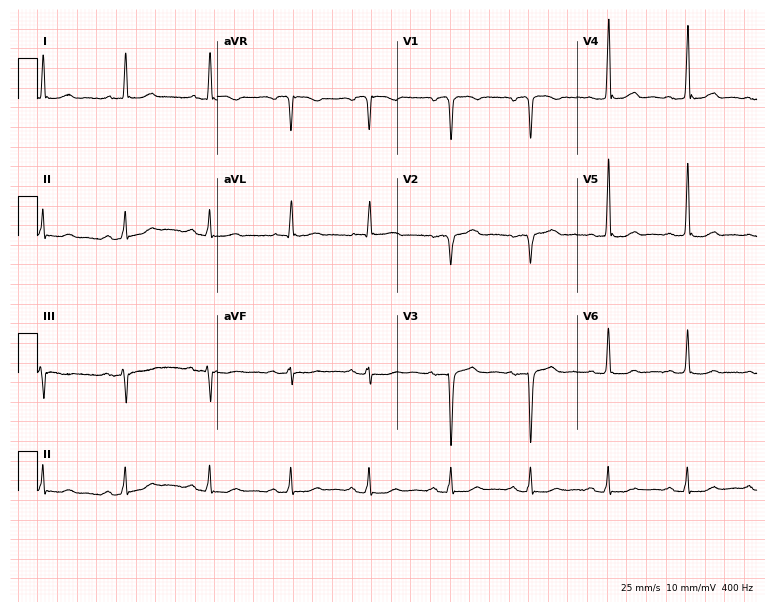
12-lead ECG (7.3-second recording at 400 Hz) from a 58-year-old woman. Screened for six findings — first-degree AV block, right bundle branch block (RBBB), left bundle branch block (LBBB), sinus bradycardia, atrial fibrillation (AF), sinus tachycardia — none is recorded.